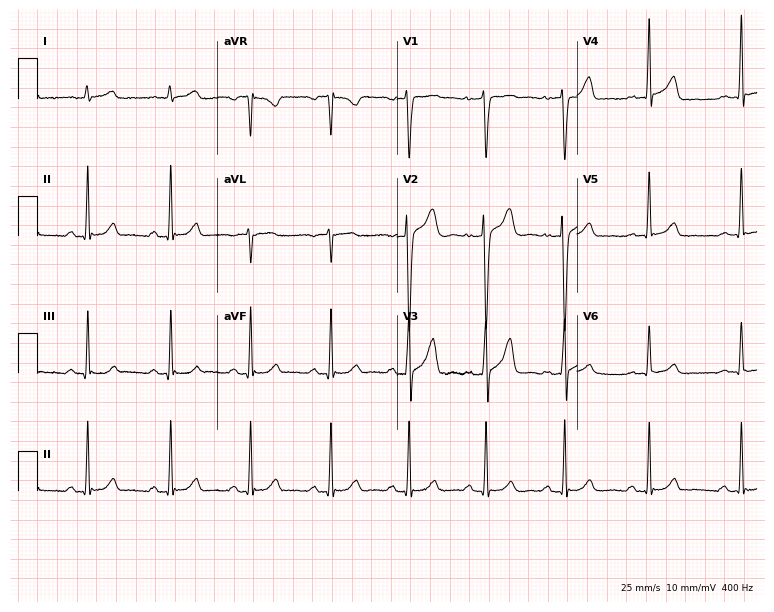
Resting 12-lead electrocardiogram (7.3-second recording at 400 Hz). Patient: a male, 25 years old. Read as a normal ECG.